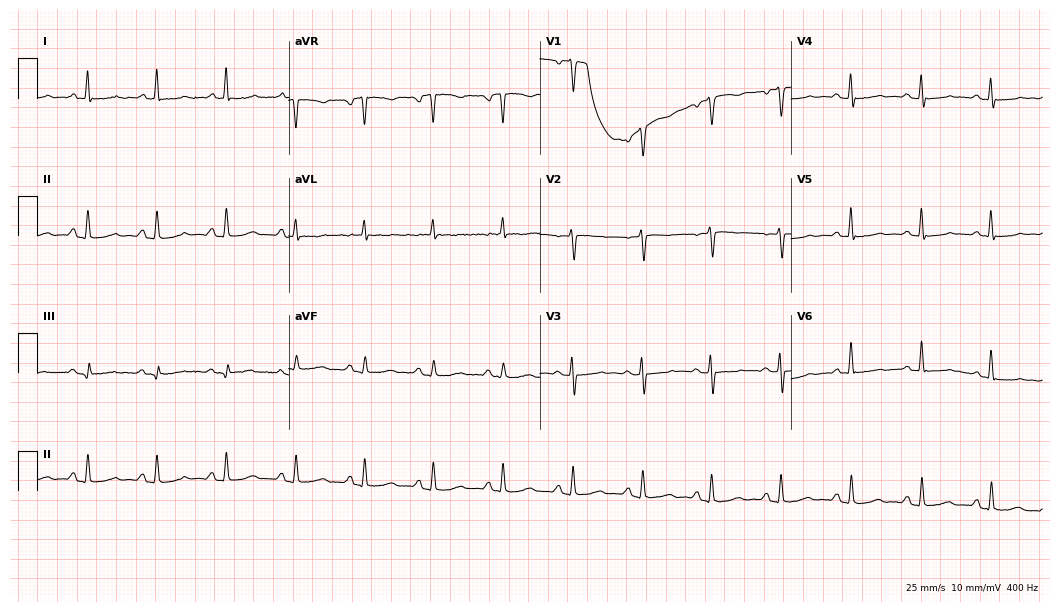
Resting 12-lead electrocardiogram (10.2-second recording at 400 Hz). Patient: a female, 51 years old. Read as a normal ECG.